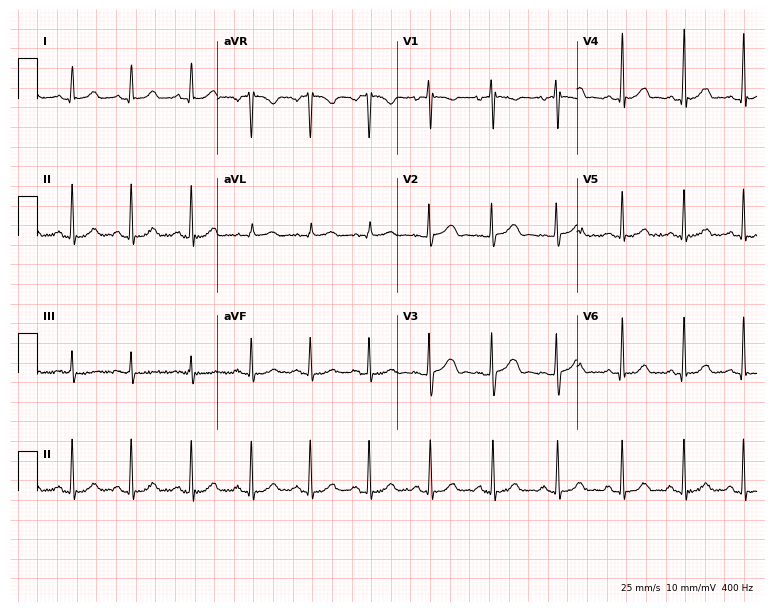
Electrocardiogram (7.3-second recording at 400 Hz), a woman, 24 years old. Of the six screened findings (first-degree AV block, right bundle branch block, left bundle branch block, sinus bradycardia, atrial fibrillation, sinus tachycardia), none is recorded.